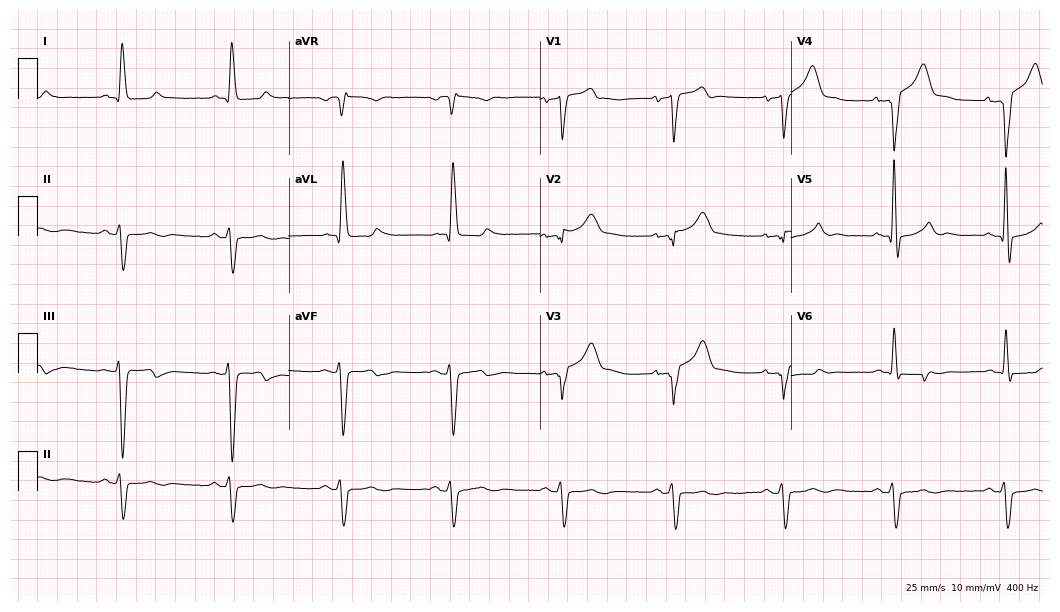
Electrocardiogram, a 73-year-old male patient. Of the six screened findings (first-degree AV block, right bundle branch block (RBBB), left bundle branch block (LBBB), sinus bradycardia, atrial fibrillation (AF), sinus tachycardia), none is recorded.